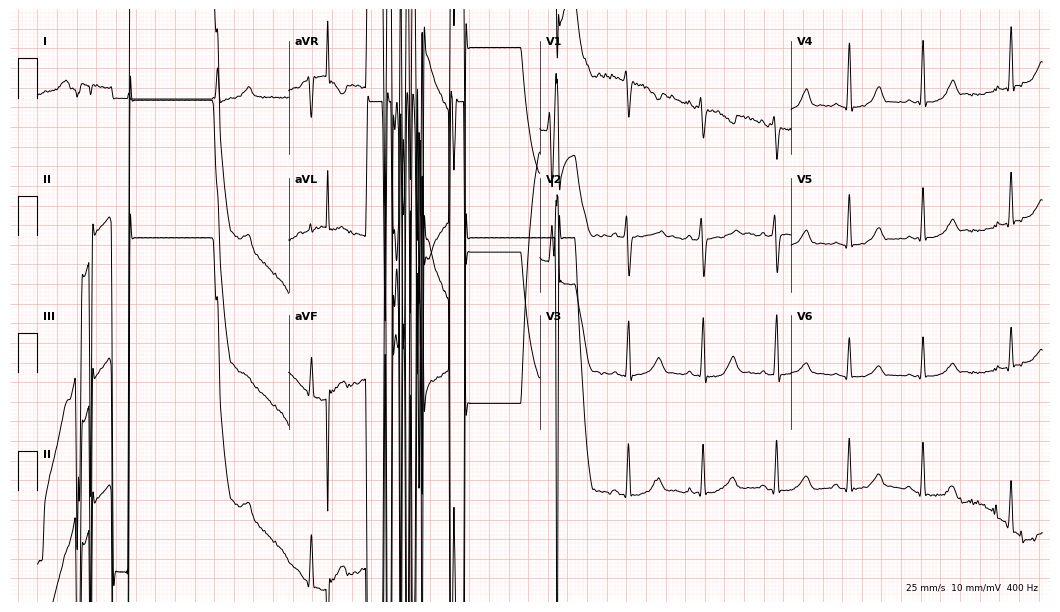
12-lead ECG (10.2-second recording at 400 Hz) from a female patient, 26 years old. Screened for six findings — first-degree AV block, right bundle branch block, left bundle branch block, sinus bradycardia, atrial fibrillation, sinus tachycardia — none is recorded. Findings outside these six are not listed.